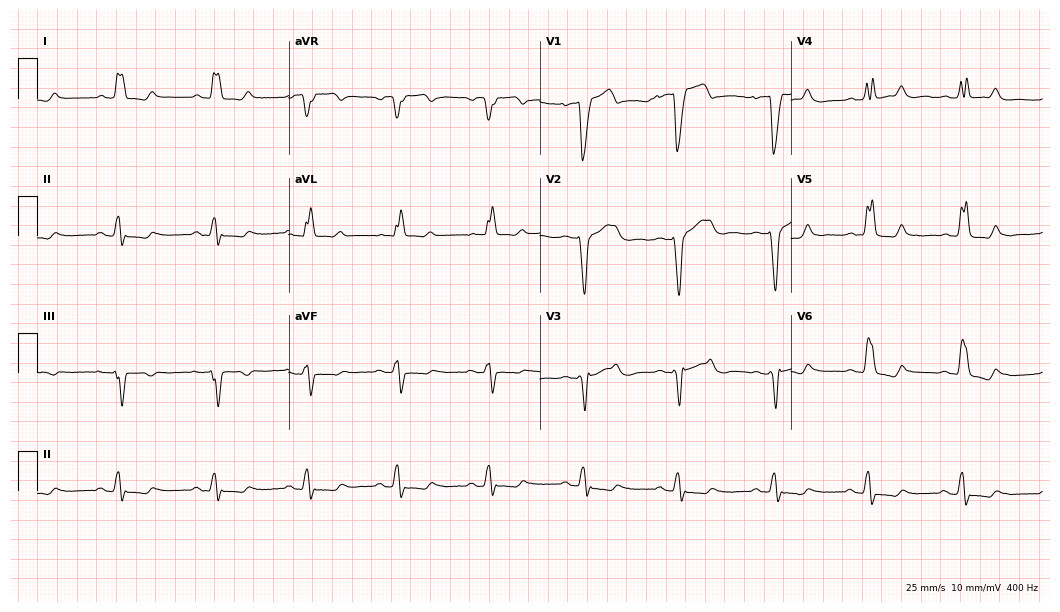
12-lead ECG from a female, 49 years old. Findings include left bundle branch block.